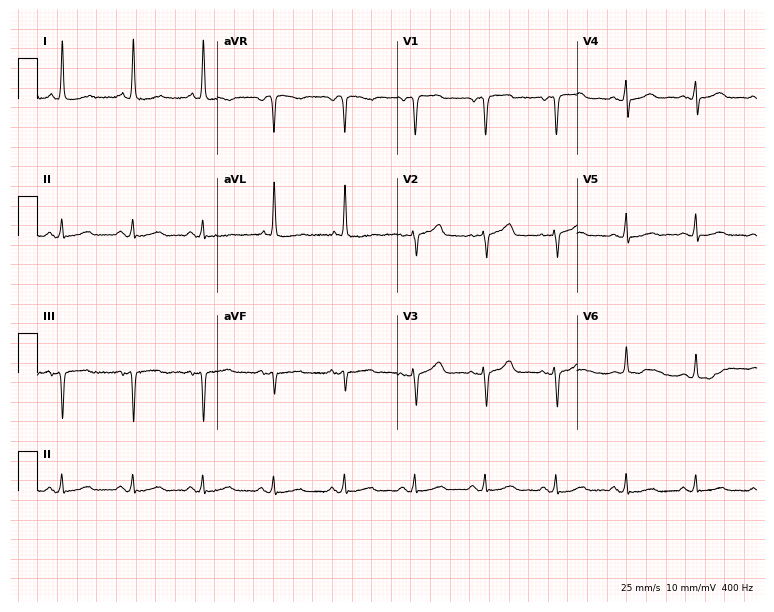
Standard 12-lead ECG recorded from a female patient, 81 years old. None of these six findings is recorded: first-degree AV block, right bundle branch block (RBBB), left bundle branch block (LBBB), sinus bradycardia, atrial fibrillation (AF), sinus tachycardia. Other findings, if any, are not listed.